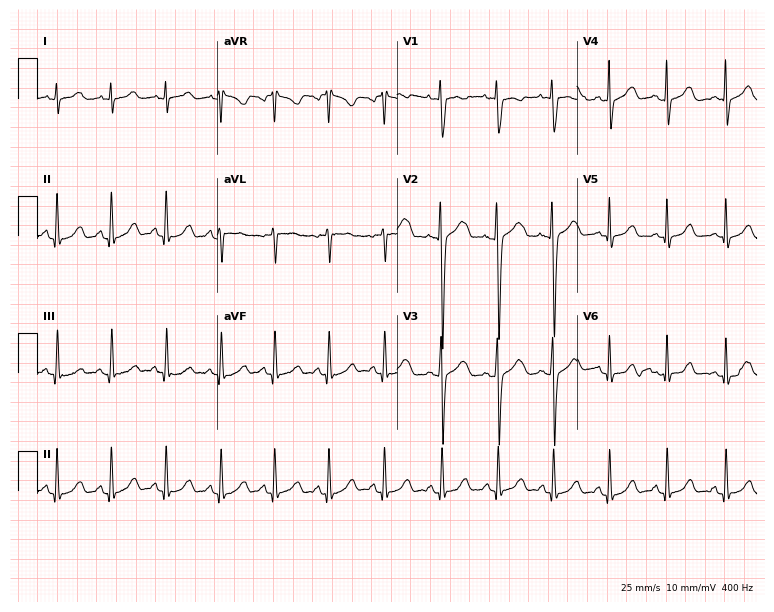
Standard 12-lead ECG recorded from a 21-year-old female patient (7.3-second recording at 400 Hz). The tracing shows sinus tachycardia (a sinus rate of 100 beats per minute or more).